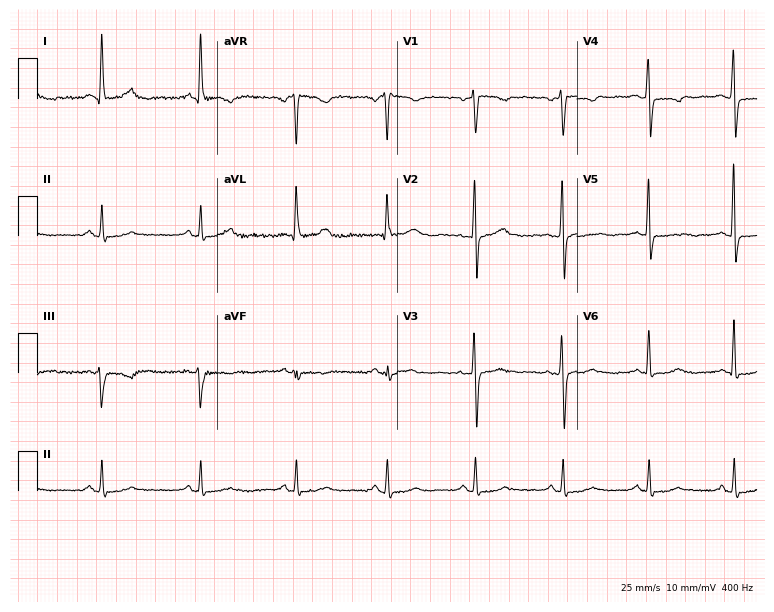
Electrocardiogram, a woman, 19 years old. Of the six screened findings (first-degree AV block, right bundle branch block, left bundle branch block, sinus bradycardia, atrial fibrillation, sinus tachycardia), none is recorded.